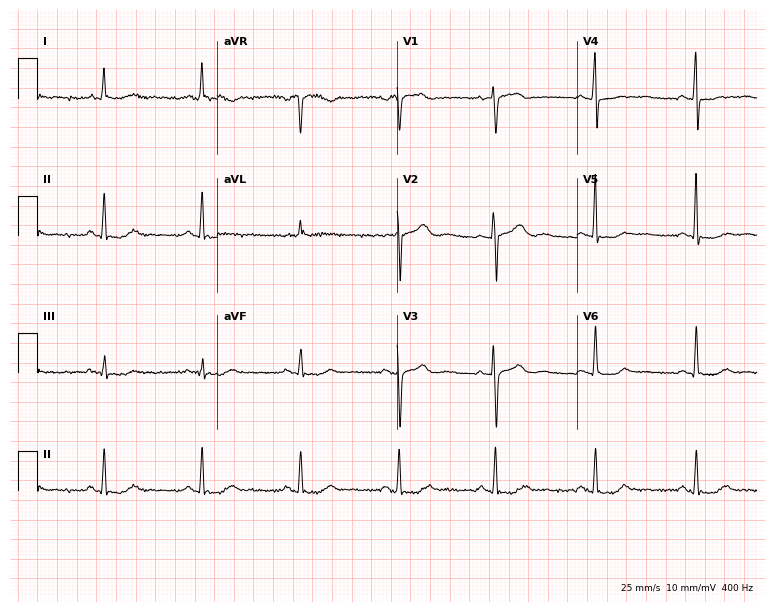
12-lead ECG from a 54-year-old female patient. No first-degree AV block, right bundle branch block, left bundle branch block, sinus bradycardia, atrial fibrillation or sinus tachycardia recorded for this tracing. Findings outside these six are not listed.